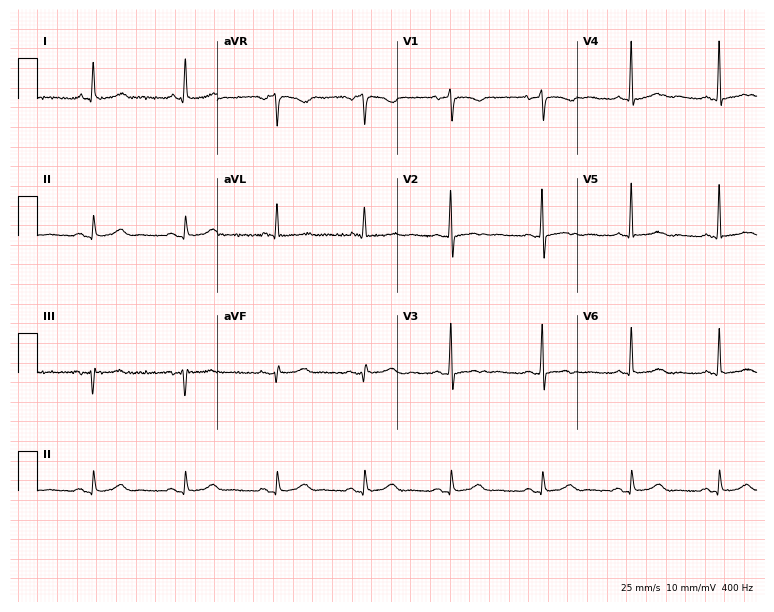
12-lead ECG from an 84-year-old female patient. Screened for six findings — first-degree AV block, right bundle branch block, left bundle branch block, sinus bradycardia, atrial fibrillation, sinus tachycardia — none is recorded. Only these six findings were labelled.